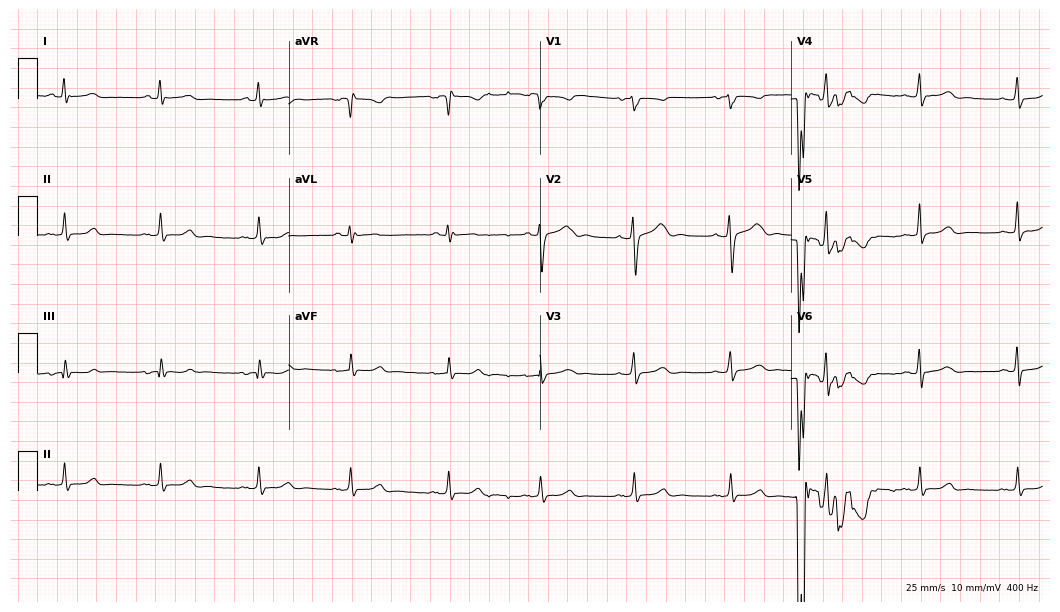
Electrocardiogram, a female patient, 25 years old. Of the six screened findings (first-degree AV block, right bundle branch block, left bundle branch block, sinus bradycardia, atrial fibrillation, sinus tachycardia), none is recorded. Only these six findings were labelled.